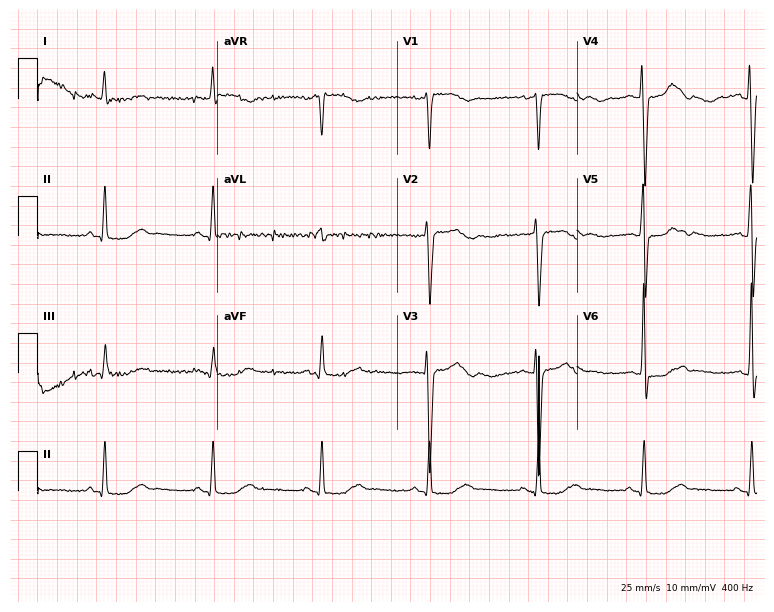
Electrocardiogram (7.3-second recording at 400 Hz), an 82-year-old male. Of the six screened findings (first-degree AV block, right bundle branch block, left bundle branch block, sinus bradycardia, atrial fibrillation, sinus tachycardia), none is recorded.